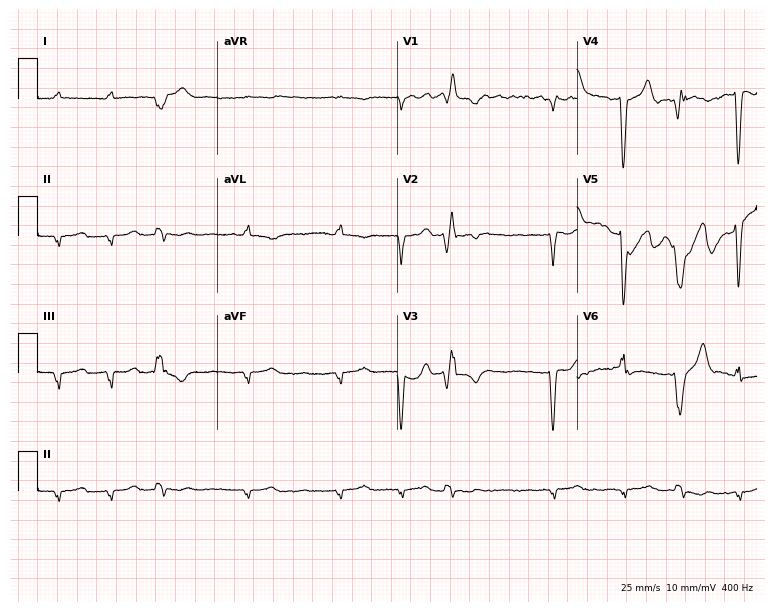
12-lead ECG from a male, 68 years old (7.3-second recording at 400 Hz). Shows atrial fibrillation.